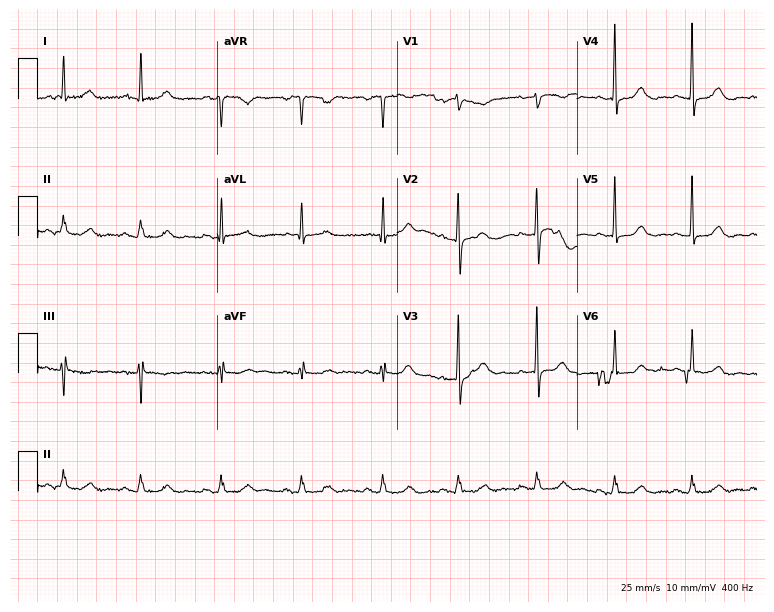
ECG (7.3-second recording at 400 Hz) — a female, 78 years old. Labelled as a normal ECG.